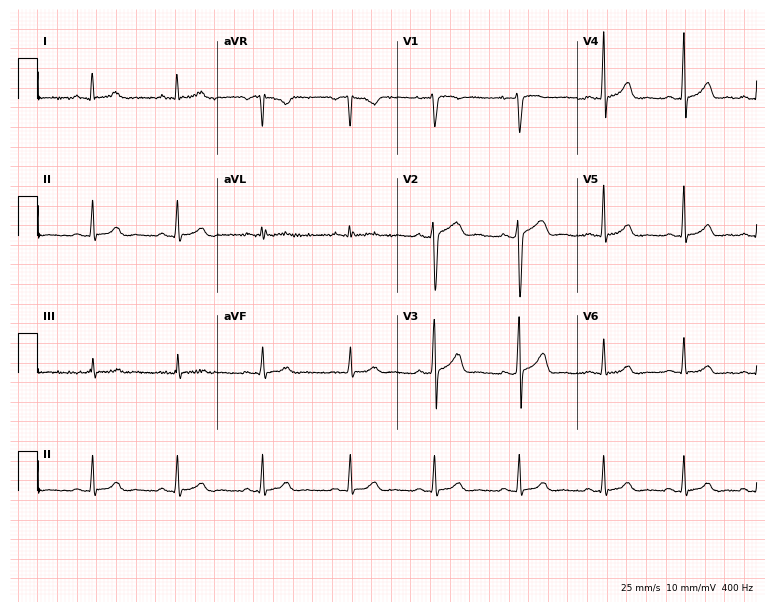
12-lead ECG from a 33-year-old man (7.3-second recording at 400 Hz). Recorded interpretation: within normal limits.